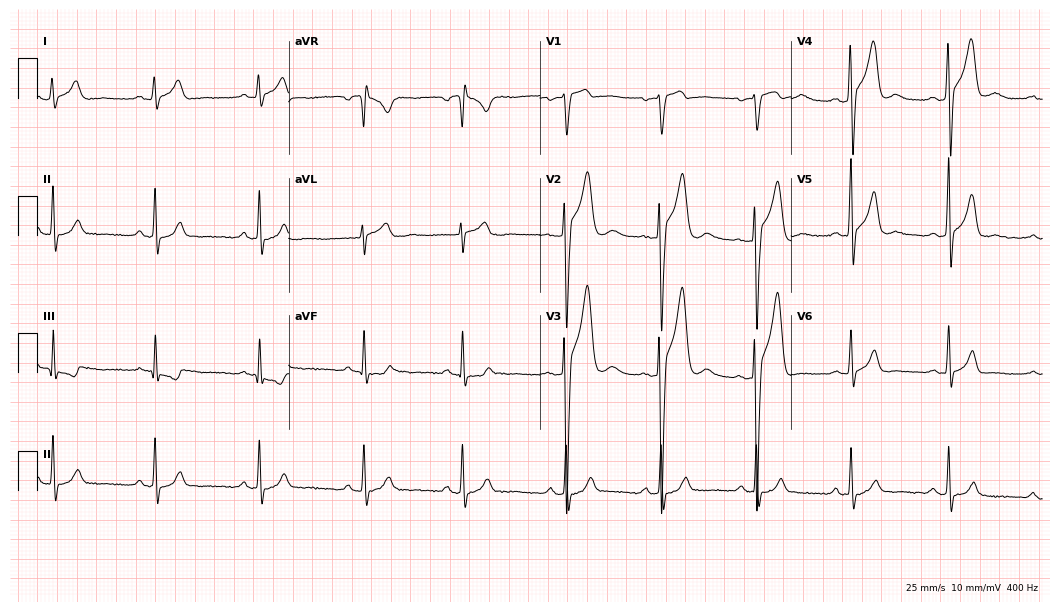
Resting 12-lead electrocardiogram. Patient: a 24-year-old man. Read as a normal ECG.